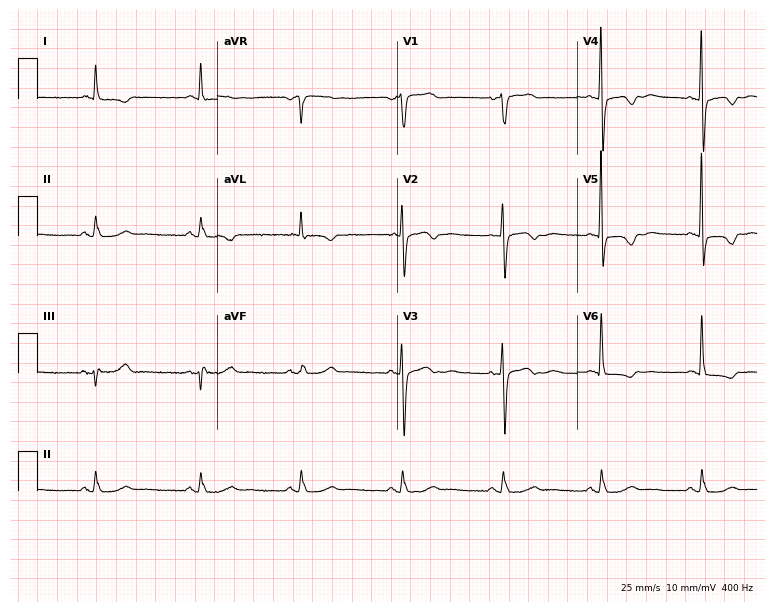
12-lead ECG from a female patient, 73 years old. Screened for six findings — first-degree AV block, right bundle branch block (RBBB), left bundle branch block (LBBB), sinus bradycardia, atrial fibrillation (AF), sinus tachycardia — none is recorded. Only these six findings were labelled.